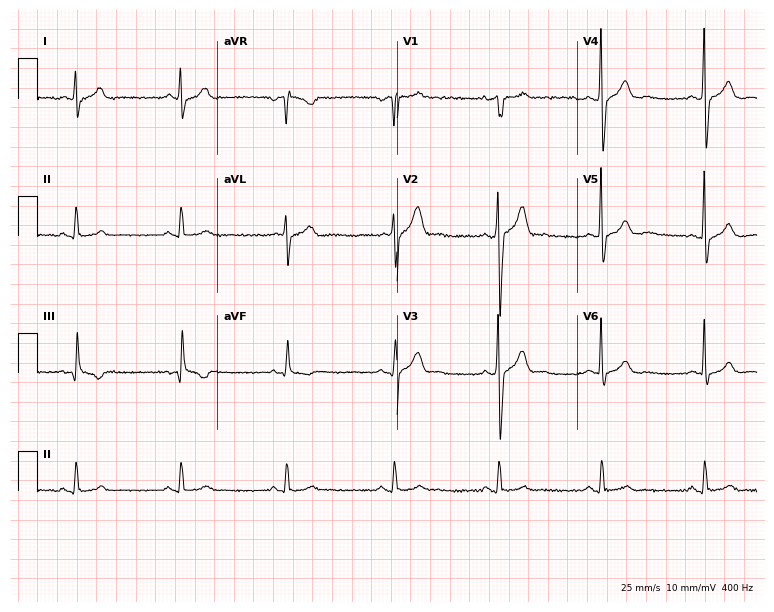
Electrocardiogram, a 42-year-old male patient. Overall reading on record: normal ECG.